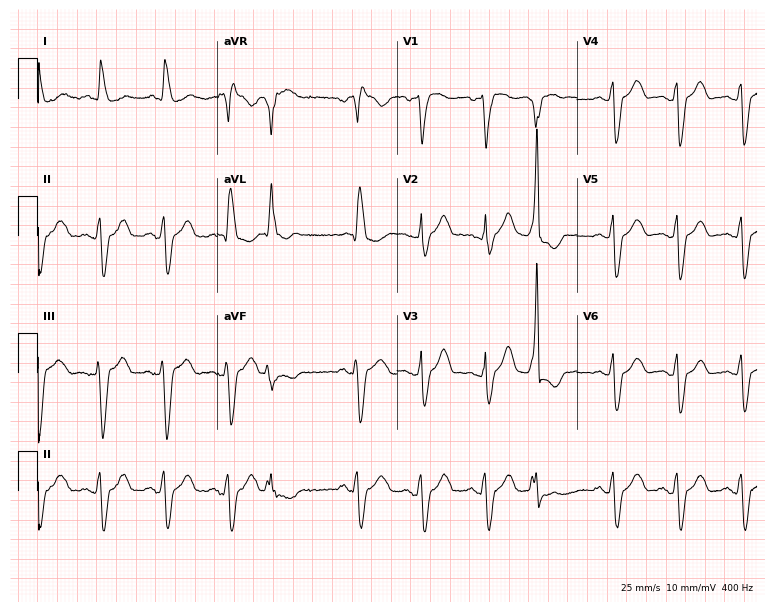
Electrocardiogram, a woman, 73 years old. Interpretation includes left bundle branch block (LBBB).